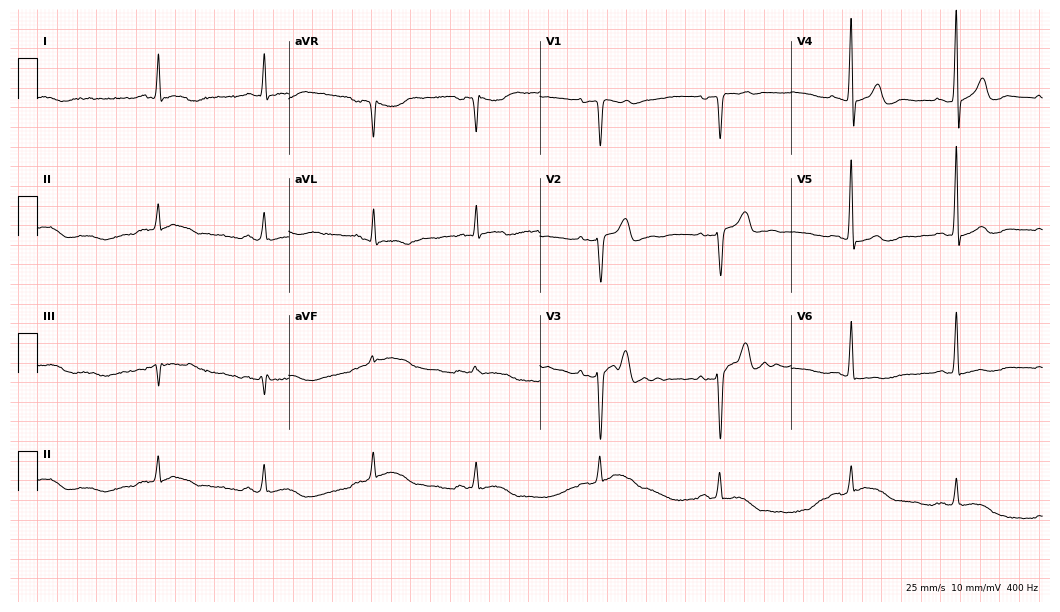
Standard 12-lead ECG recorded from a male patient, 78 years old. None of these six findings is recorded: first-degree AV block, right bundle branch block (RBBB), left bundle branch block (LBBB), sinus bradycardia, atrial fibrillation (AF), sinus tachycardia. Findings outside these six are not listed.